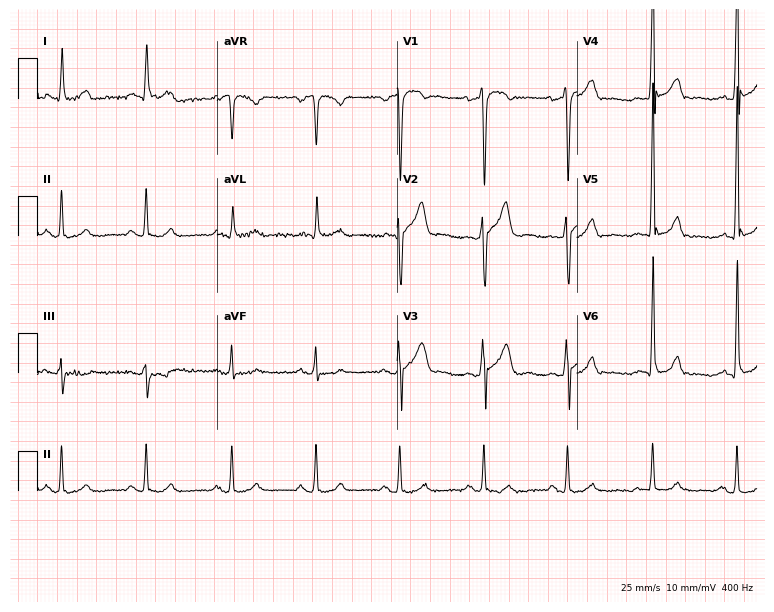
ECG — a man, 53 years old. Labelled as a normal ECG.